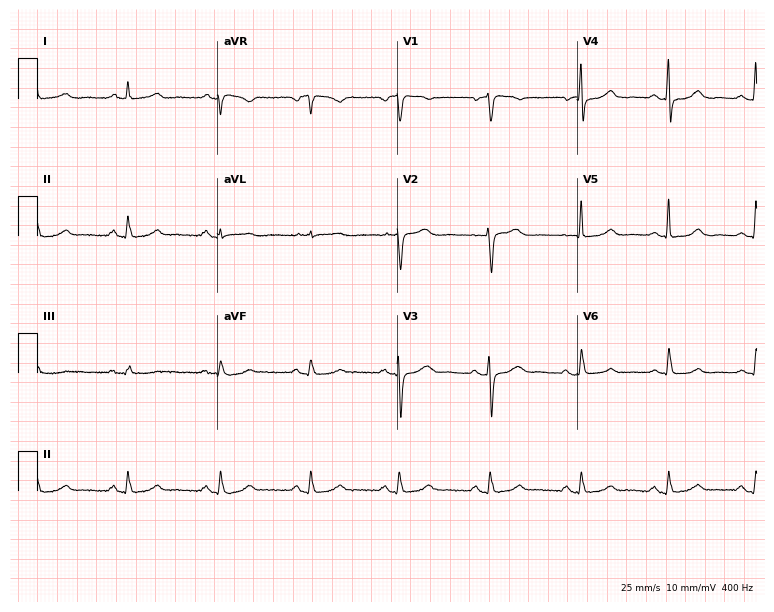
12-lead ECG from a female, 49 years old (7.3-second recording at 400 Hz). Recorded interpretation: within normal limits.